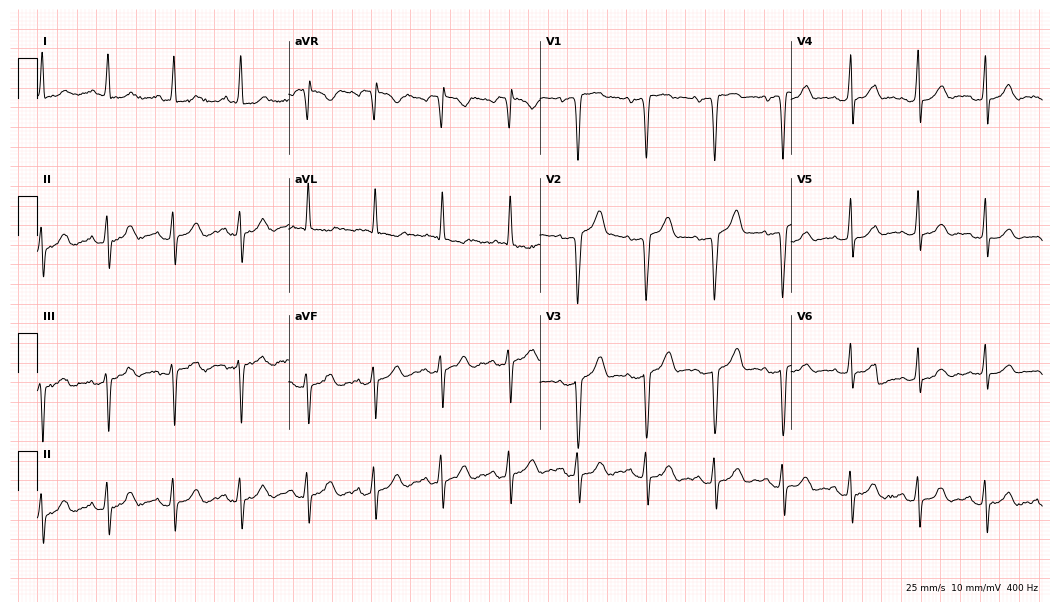
Standard 12-lead ECG recorded from a 68-year-old male patient (10.2-second recording at 400 Hz). Read as a normal ECG.